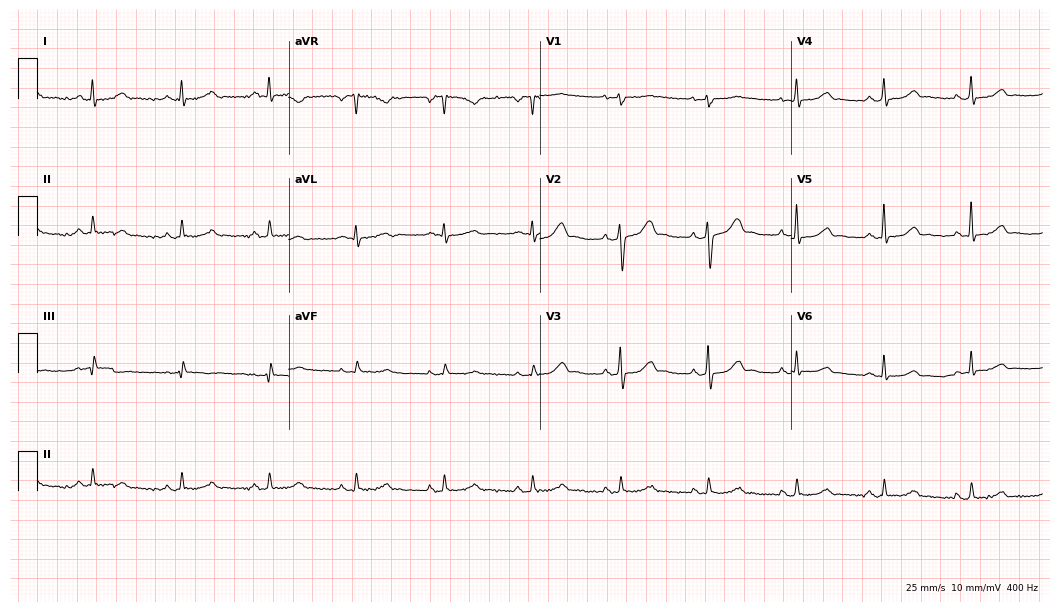
Electrocardiogram (10.2-second recording at 400 Hz), a man, 56 years old. Overall reading on record: normal ECG.